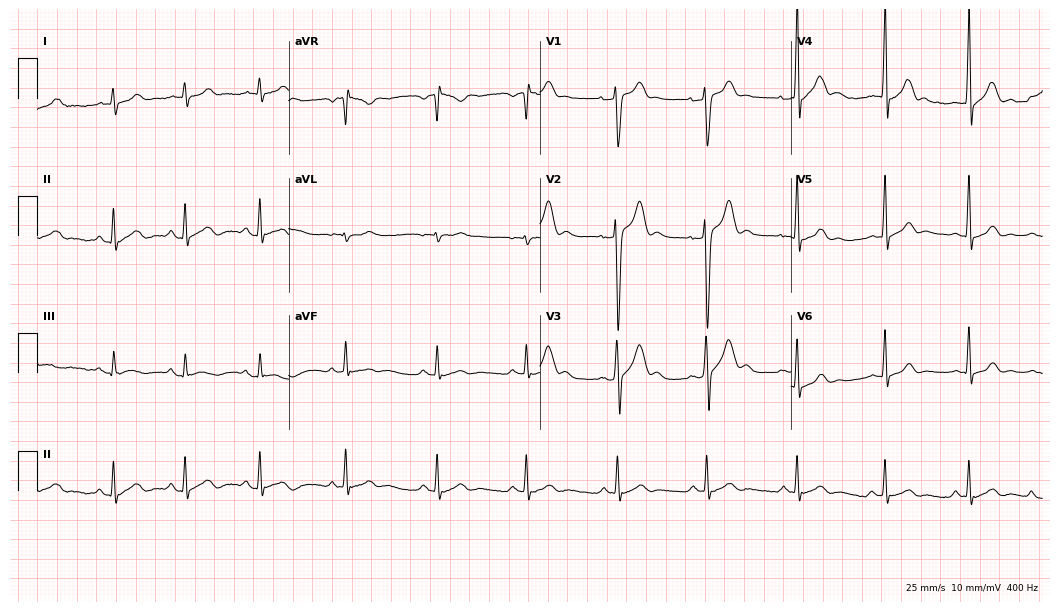
Standard 12-lead ECG recorded from a 25-year-old male patient. Read as a normal ECG.